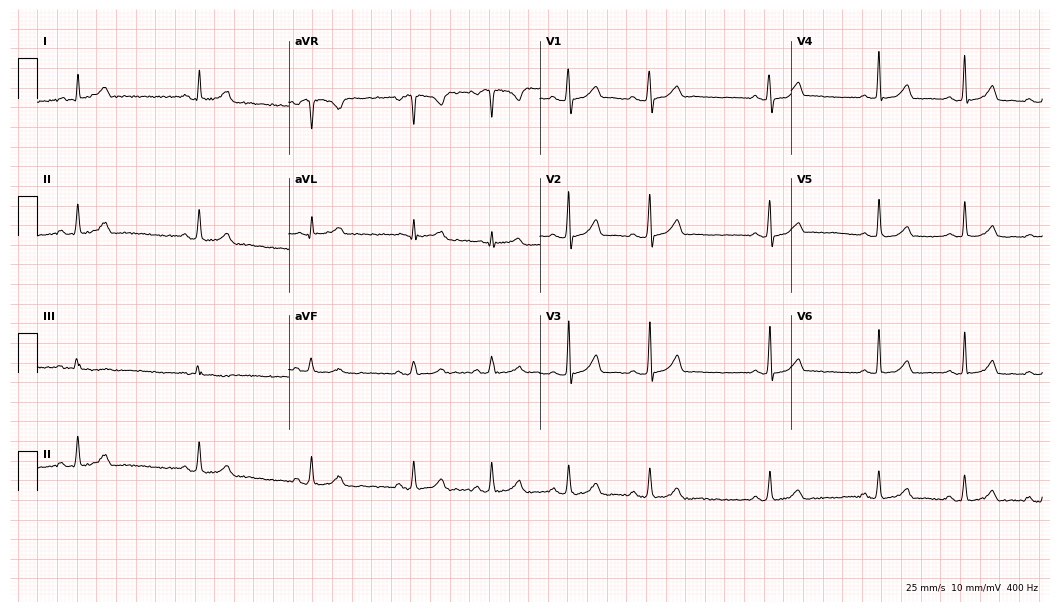
12-lead ECG from a female patient, 25 years old (10.2-second recording at 400 Hz). No first-degree AV block, right bundle branch block (RBBB), left bundle branch block (LBBB), sinus bradycardia, atrial fibrillation (AF) or sinus tachycardia recorded for this tracing. Other findings, if any, are not listed.